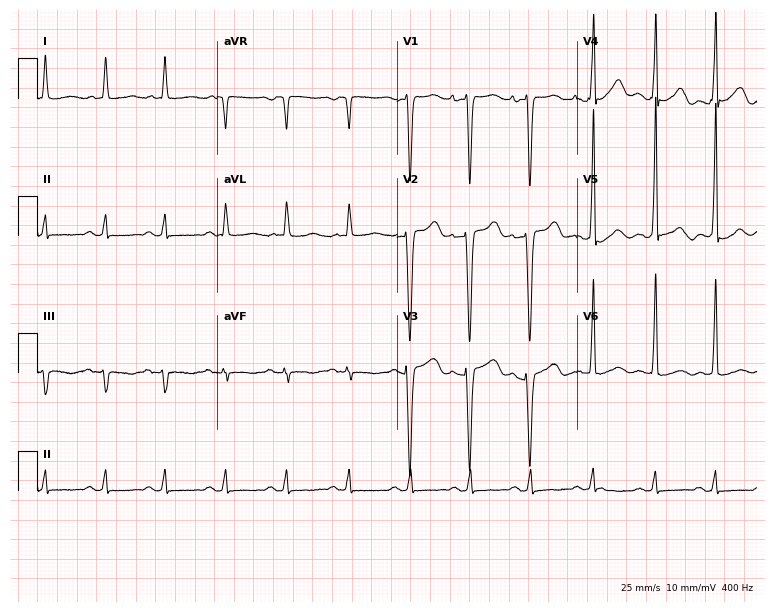
Resting 12-lead electrocardiogram (7.3-second recording at 400 Hz). Patient: a man, 57 years old. None of these six findings is recorded: first-degree AV block, right bundle branch block, left bundle branch block, sinus bradycardia, atrial fibrillation, sinus tachycardia. Other findings, if any, are not listed.